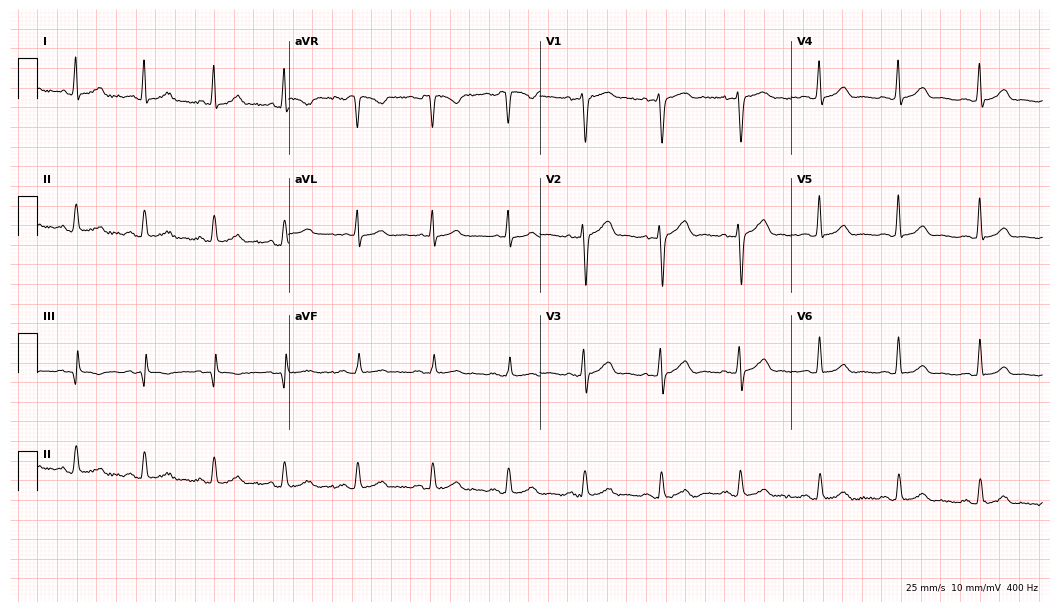
12-lead ECG (10.2-second recording at 400 Hz) from a 34-year-old man. Labelled as a normal ECG.